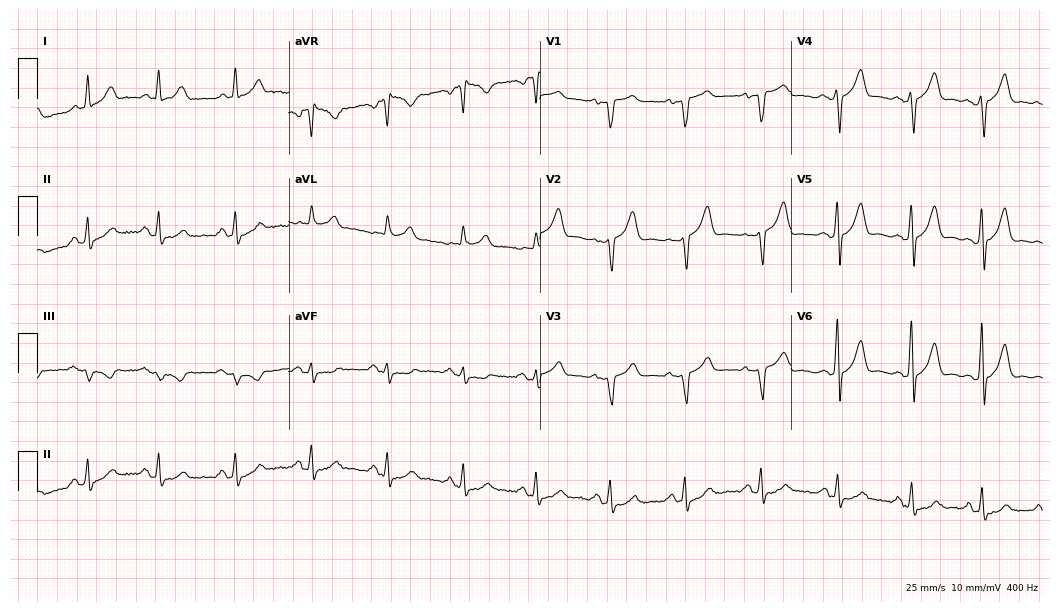
12-lead ECG (10.2-second recording at 400 Hz) from a man, 69 years old. Labelled as a normal ECG.